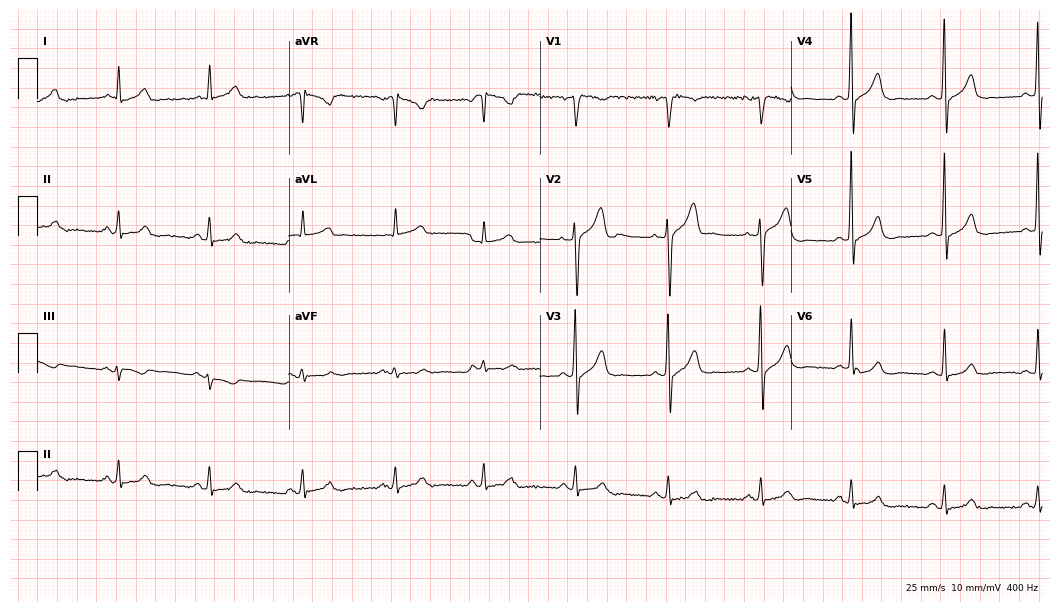
Electrocardiogram, a 60-year-old male patient. Overall reading on record: normal ECG.